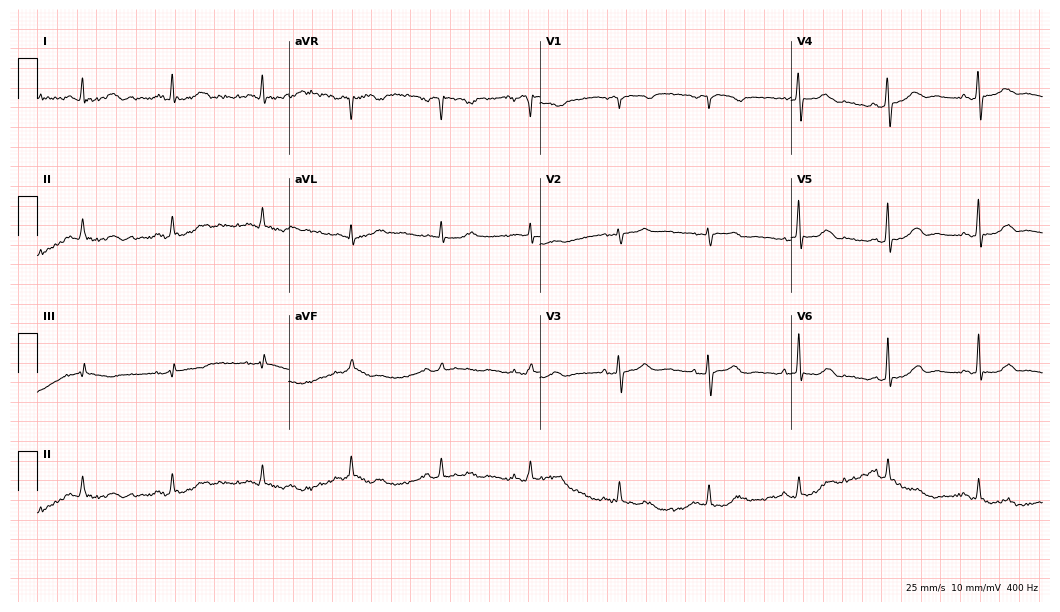
Electrocardiogram (10.2-second recording at 400 Hz), a 60-year-old woman. Overall reading on record: normal ECG.